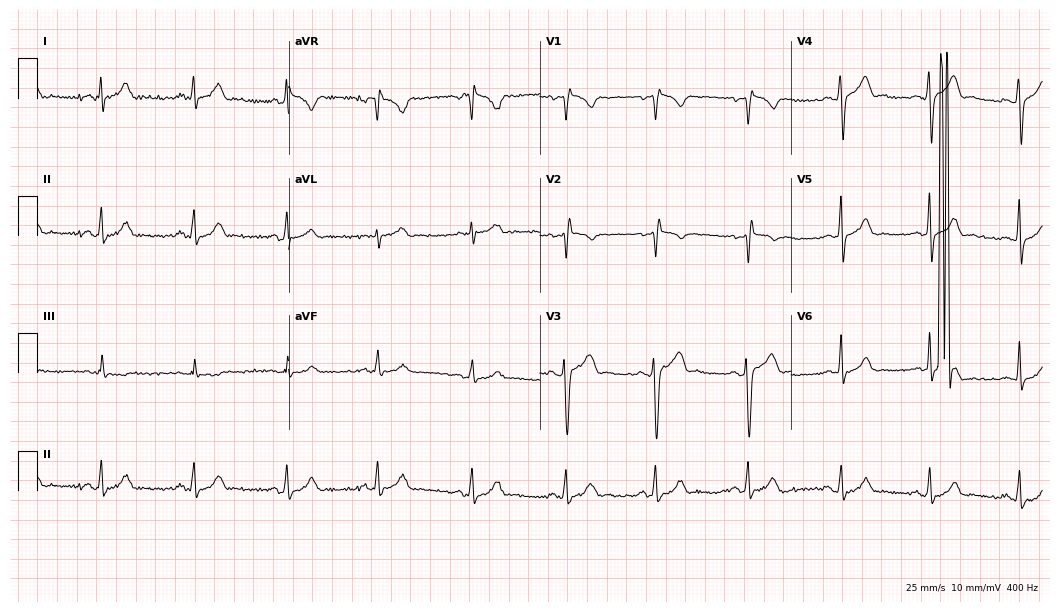
Standard 12-lead ECG recorded from a male patient, 22 years old (10.2-second recording at 400 Hz). None of these six findings is recorded: first-degree AV block, right bundle branch block (RBBB), left bundle branch block (LBBB), sinus bradycardia, atrial fibrillation (AF), sinus tachycardia. Only these six findings were labelled.